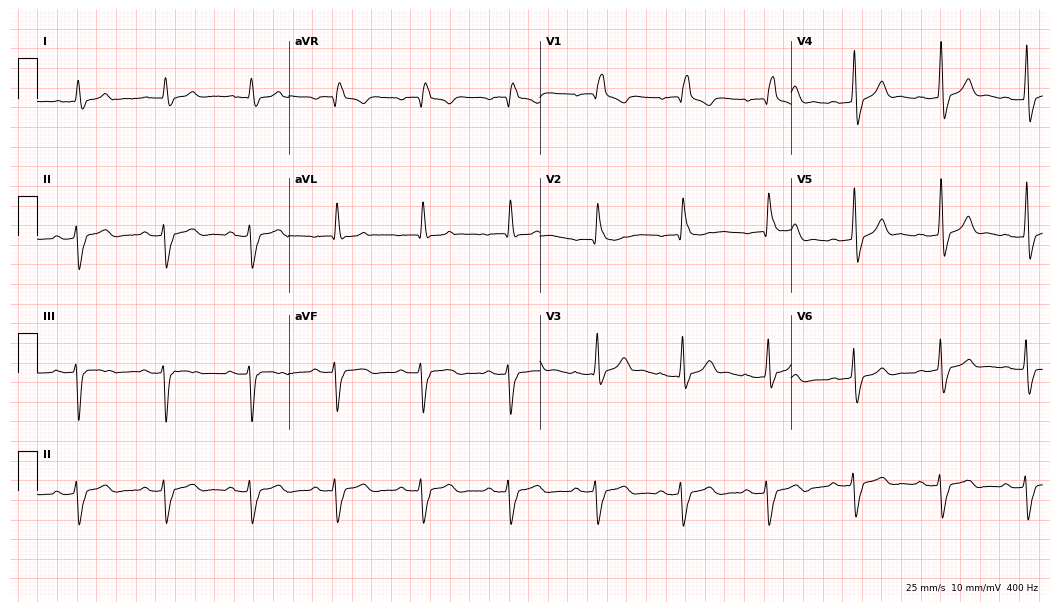
Resting 12-lead electrocardiogram. Patient: a 73-year-old male. The tracing shows right bundle branch block.